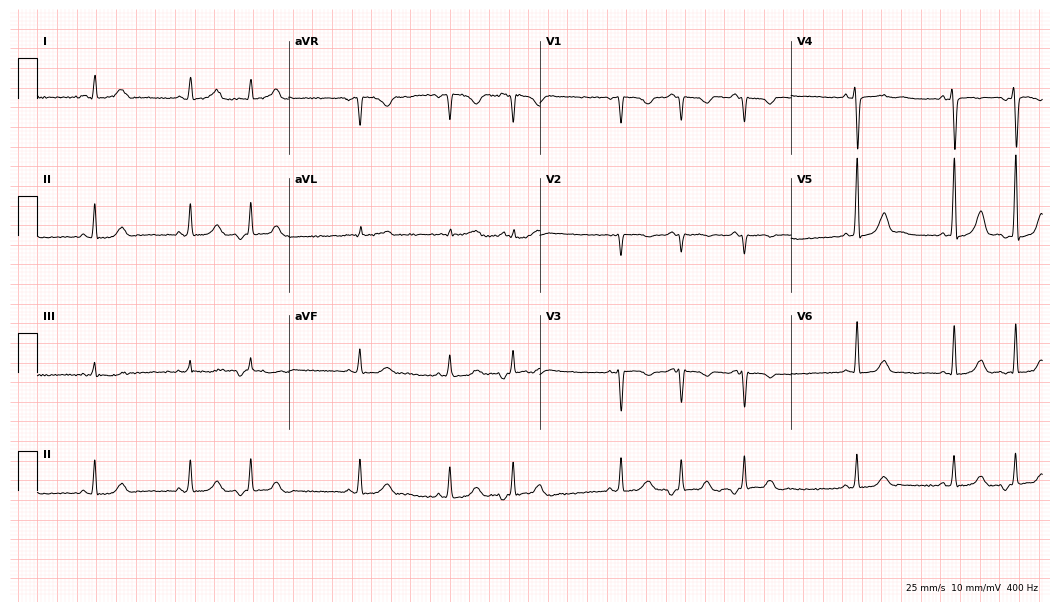
Resting 12-lead electrocardiogram (10.2-second recording at 400 Hz). Patient: a 21-year-old female. None of these six findings is recorded: first-degree AV block, right bundle branch block (RBBB), left bundle branch block (LBBB), sinus bradycardia, atrial fibrillation (AF), sinus tachycardia. Other findings, if any, are not listed.